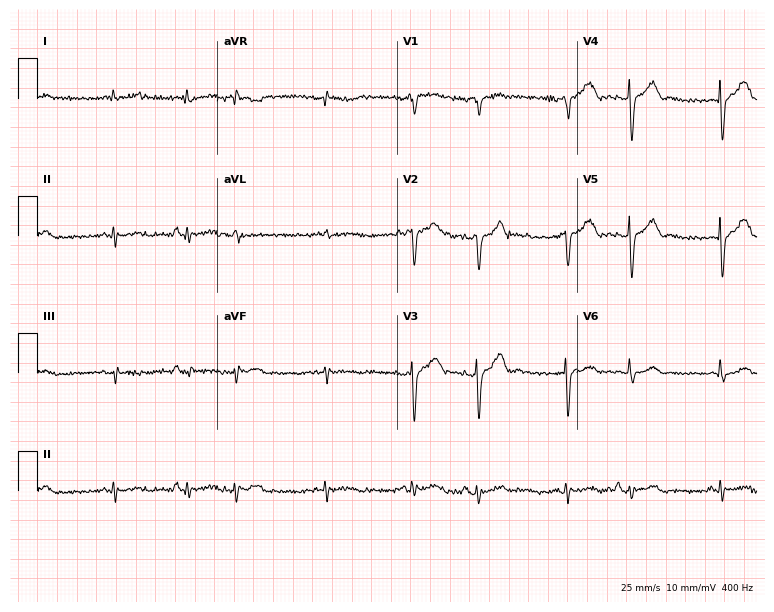
Resting 12-lead electrocardiogram. Patient: a 67-year-old male. None of these six findings is recorded: first-degree AV block, right bundle branch block (RBBB), left bundle branch block (LBBB), sinus bradycardia, atrial fibrillation (AF), sinus tachycardia.